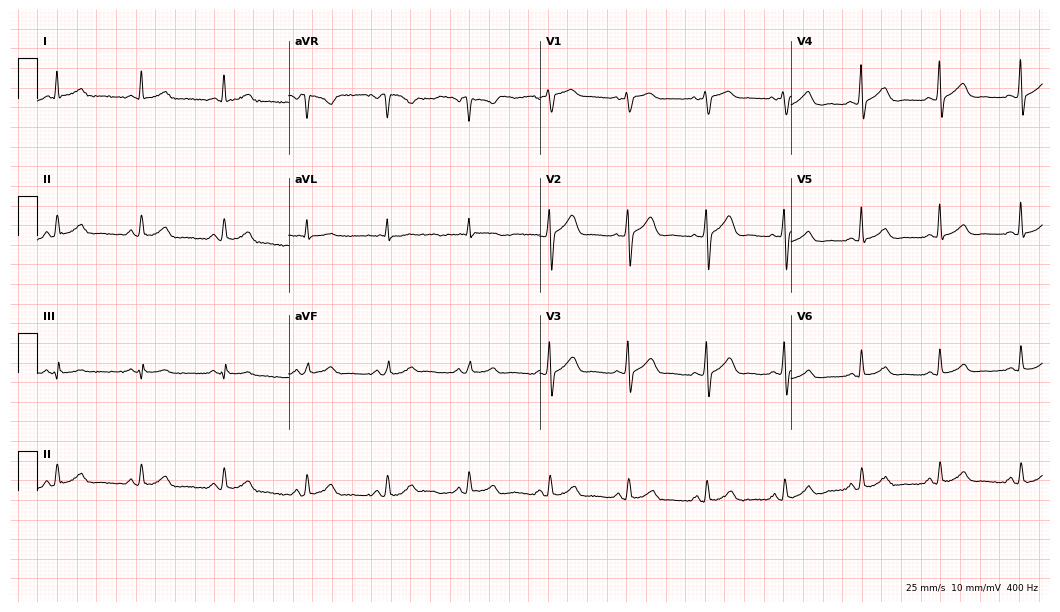
12-lead ECG from a woman, 56 years old. Labelled as a normal ECG.